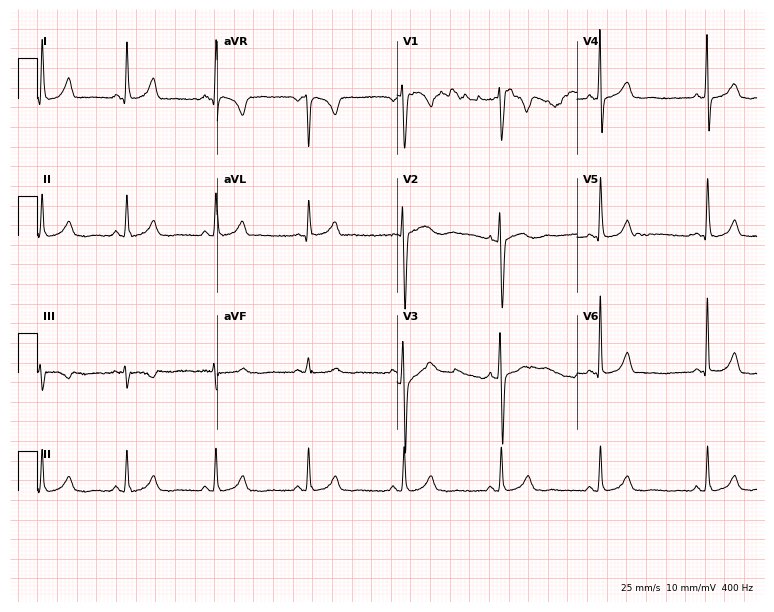
12-lead ECG (7.3-second recording at 400 Hz) from a 36-year-old woman. Labelled as a normal ECG.